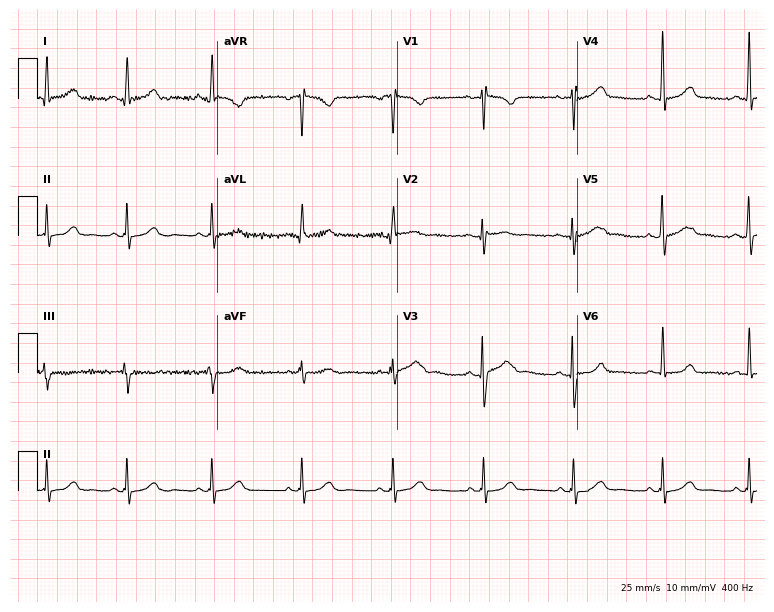
Resting 12-lead electrocardiogram. Patient: a 23-year-old female. None of these six findings is recorded: first-degree AV block, right bundle branch block, left bundle branch block, sinus bradycardia, atrial fibrillation, sinus tachycardia. Only these six findings were labelled.